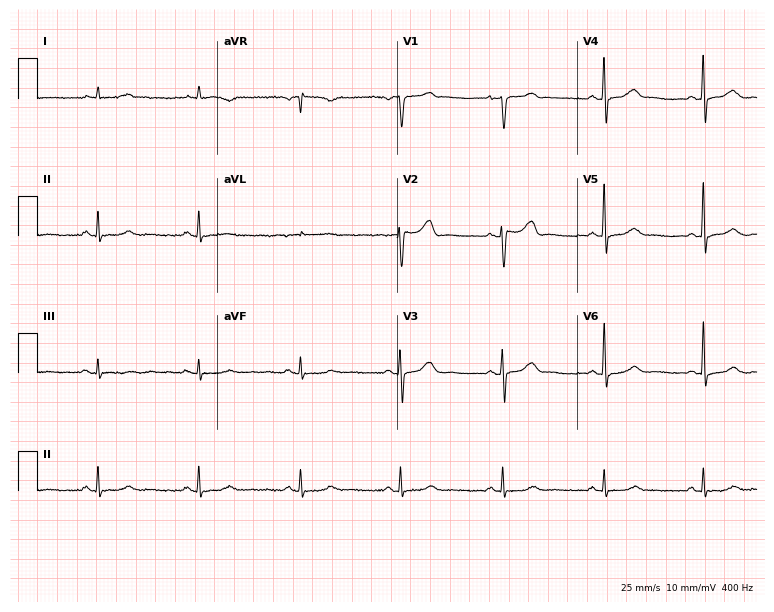
ECG — a female patient, 66 years old. Screened for six findings — first-degree AV block, right bundle branch block, left bundle branch block, sinus bradycardia, atrial fibrillation, sinus tachycardia — none is recorded. Only these six findings were labelled.